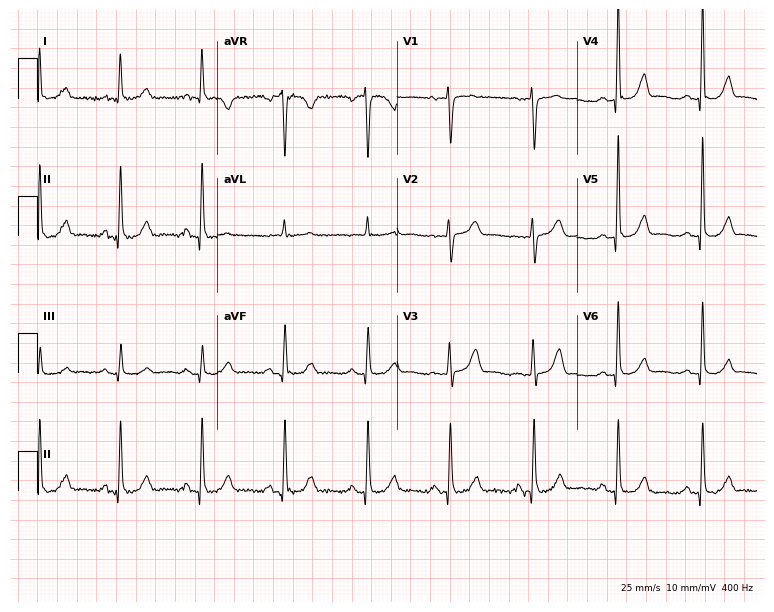
Resting 12-lead electrocardiogram (7.3-second recording at 400 Hz). Patient: a woman, 78 years old. Read as a normal ECG.